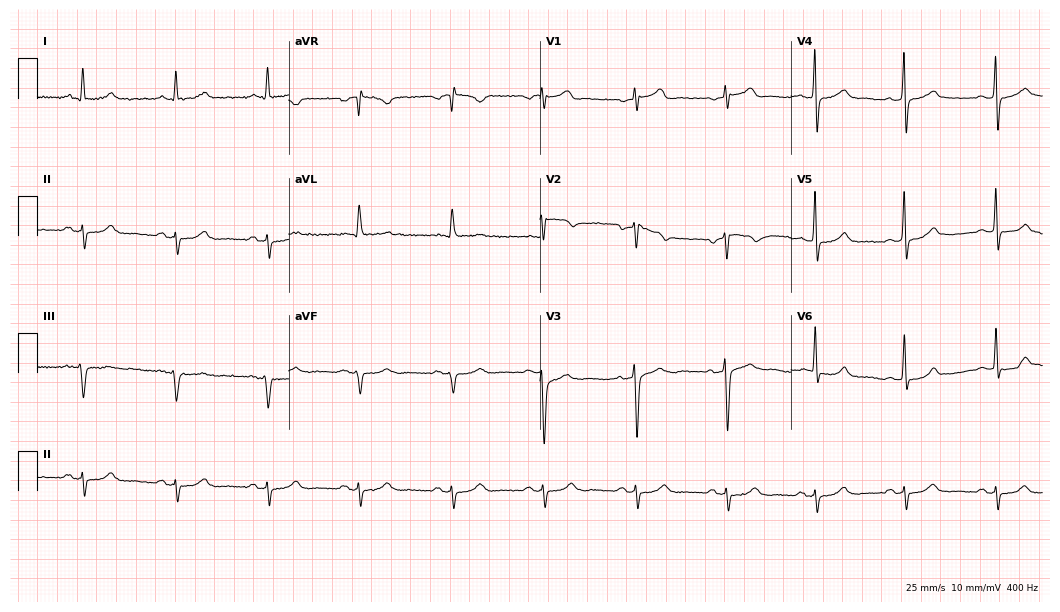
12-lead ECG from a male patient, 57 years old (10.2-second recording at 400 Hz). No first-degree AV block, right bundle branch block, left bundle branch block, sinus bradycardia, atrial fibrillation or sinus tachycardia recorded for this tracing.